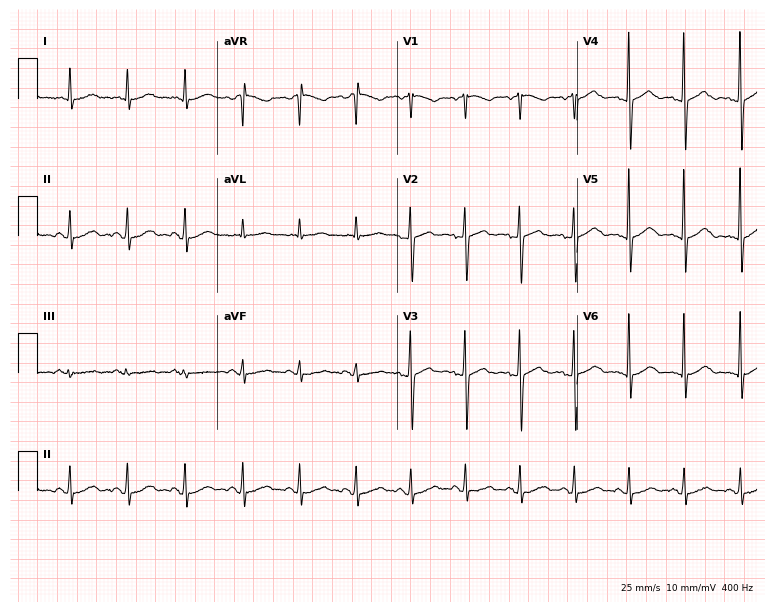
Standard 12-lead ECG recorded from a female patient, 52 years old (7.3-second recording at 400 Hz). The tracing shows sinus tachycardia (a sinus rate of 100 beats per minute or more).